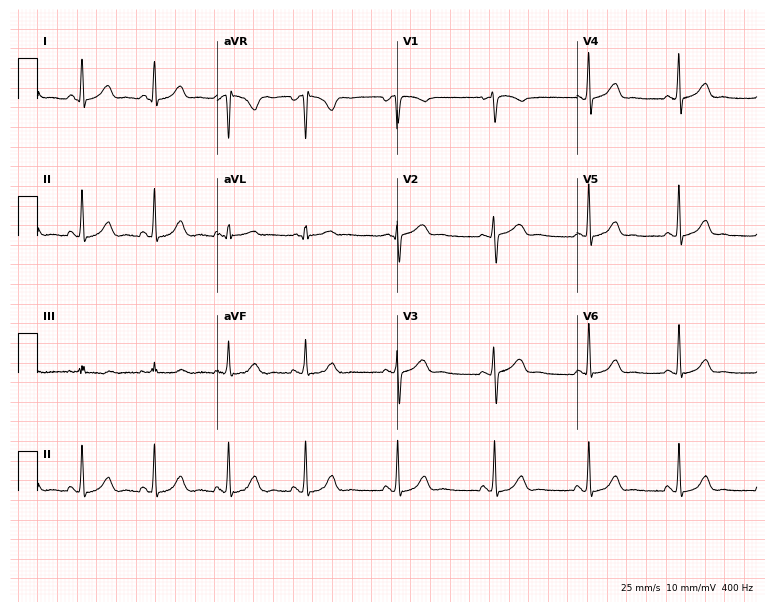
12-lead ECG from a female, 38 years old. Labelled as a normal ECG.